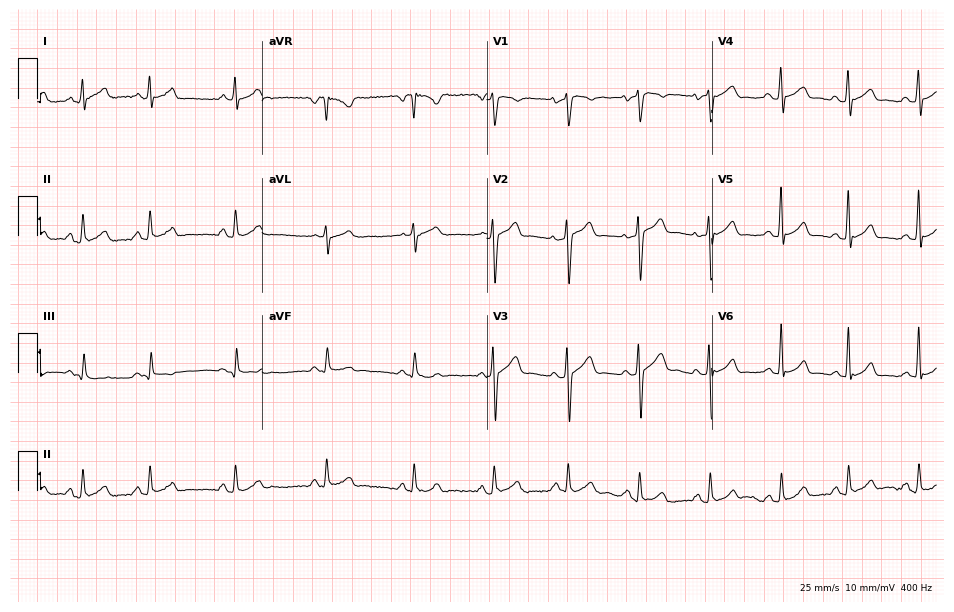
ECG — a male patient, 24 years old. Labelled as a normal ECG.